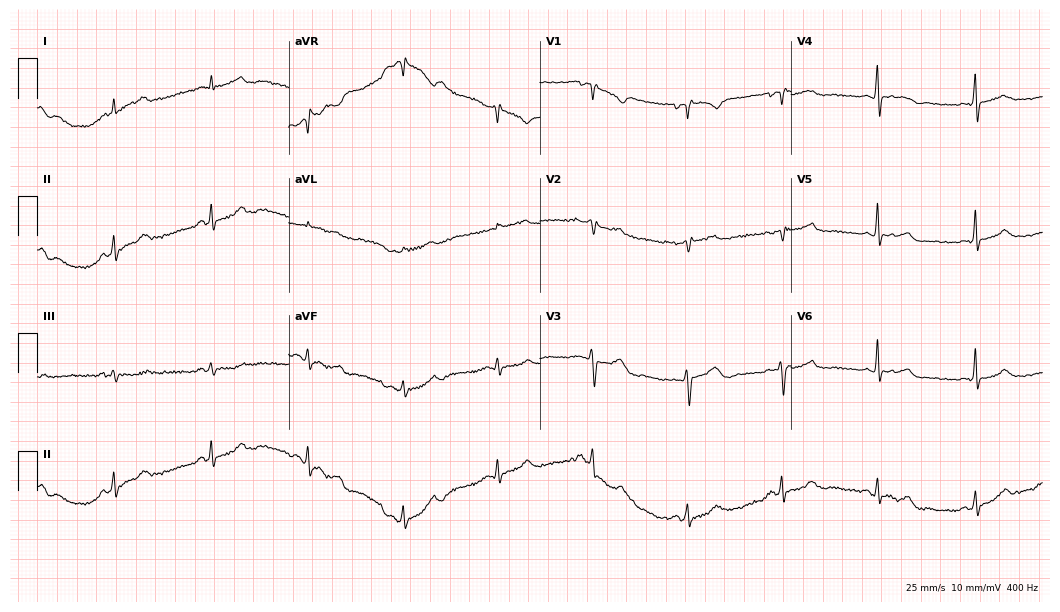
Resting 12-lead electrocardiogram (10.2-second recording at 400 Hz). Patient: a 45-year-old female. None of these six findings is recorded: first-degree AV block, right bundle branch block, left bundle branch block, sinus bradycardia, atrial fibrillation, sinus tachycardia. Other findings, if any, are not listed.